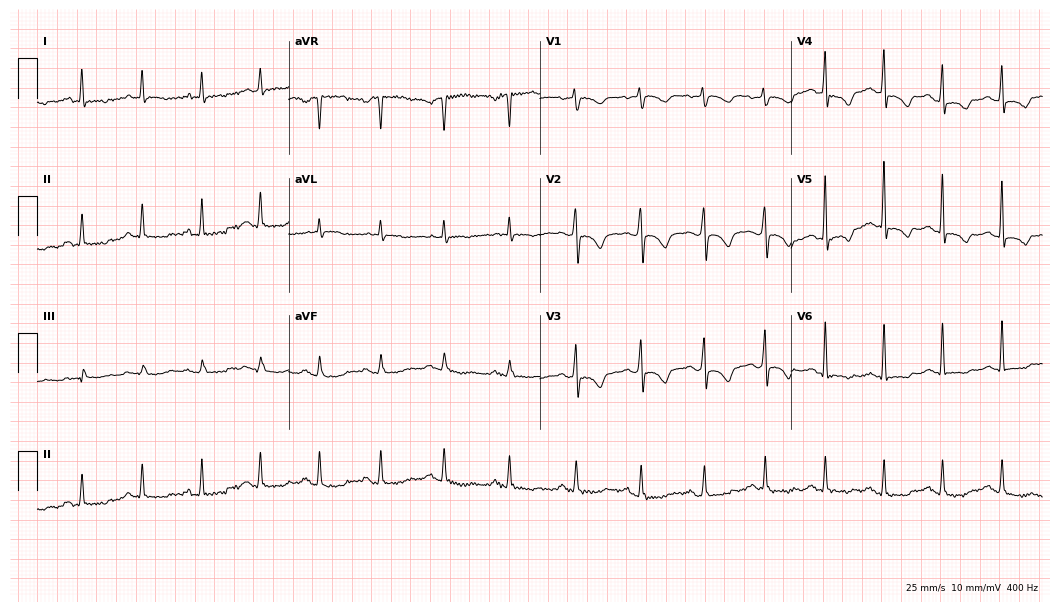
12-lead ECG from a 54-year-old woman (10.2-second recording at 400 Hz). No first-degree AV block, right bundle branch block (RBBB), left bundle branch block (LBBB), sinus bradycardia, atrial fibrillation (AF) or sinus tachycardia recorded for this tracing.